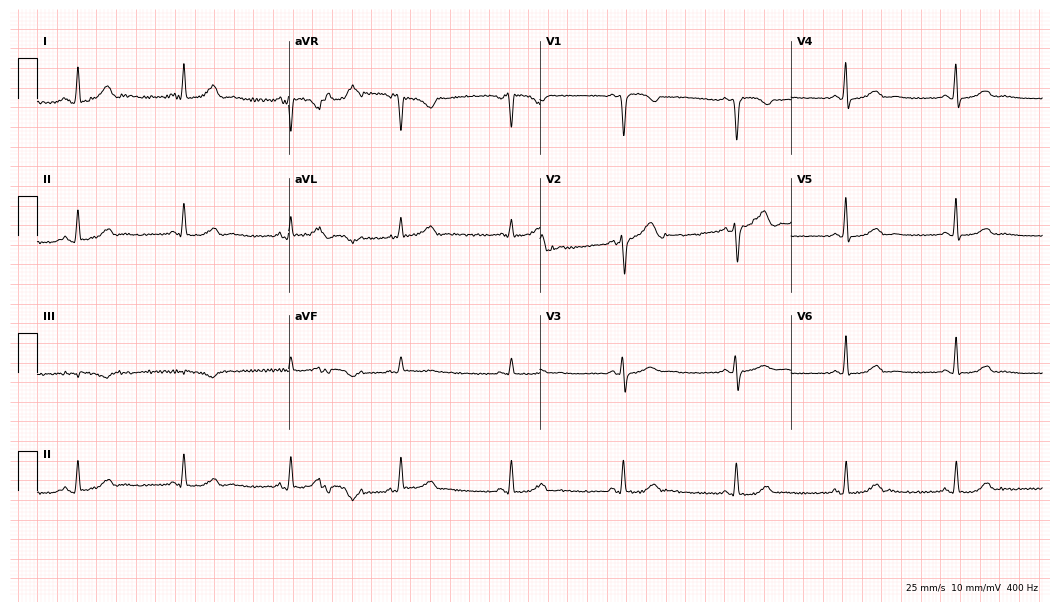
Standard 12-lead ECG recorded from a woman, 56 years old. Read as a normal ECG.